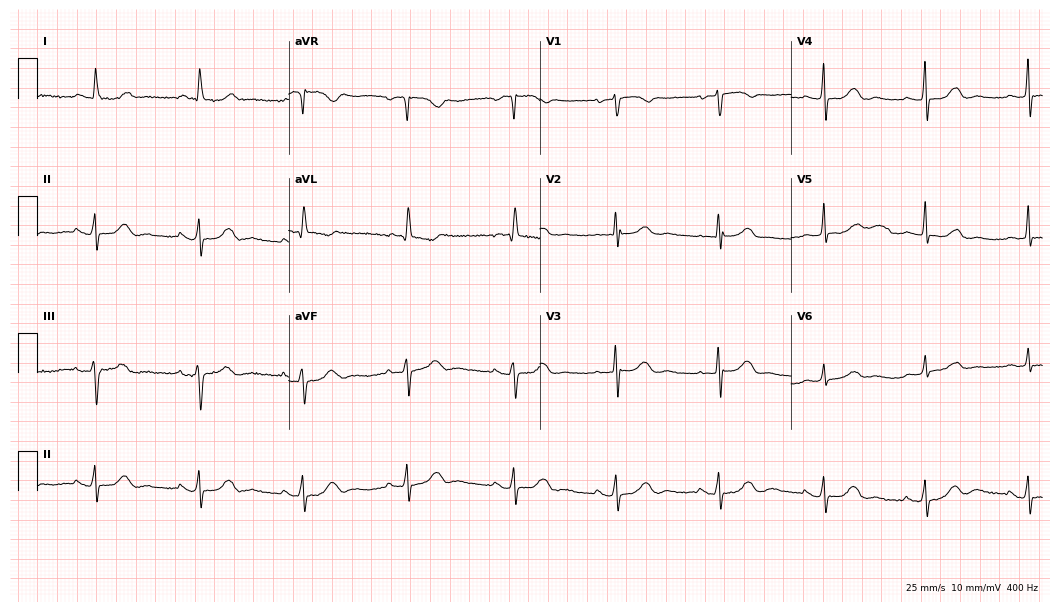
ECG — a female patient, 70 years old. Findings include atrial fibrillation.